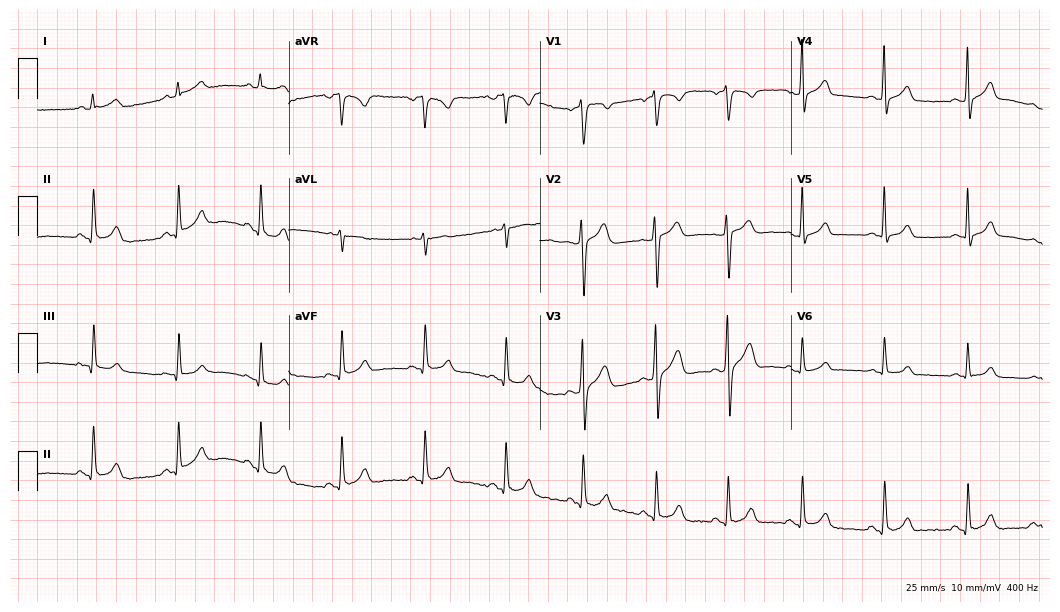
Resting 12-lead electrocardiogram (10.2-second recording at 400 Hz). Patient: a male, 27 years old. Read as a normal ECG.